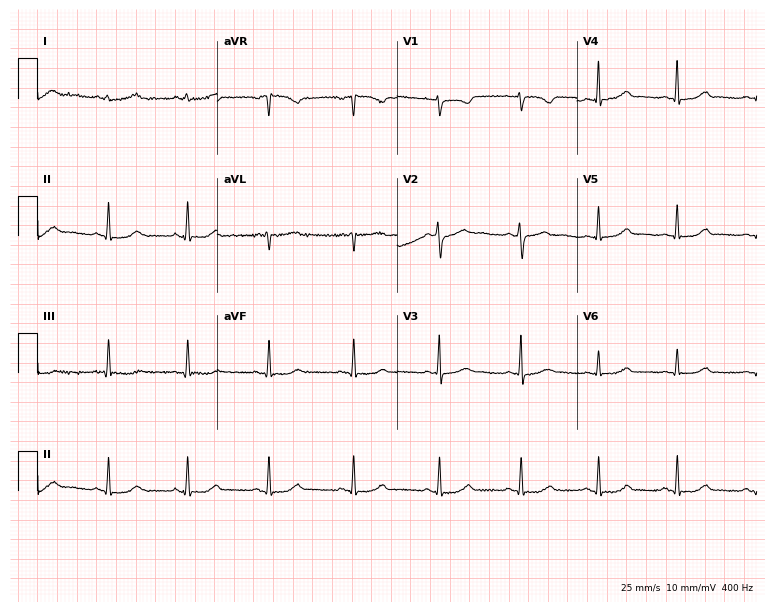
12-lead ECG (7.3-second recording at 400 Hz) from a female patient, 24 years old. Labelled as a normal ECG.